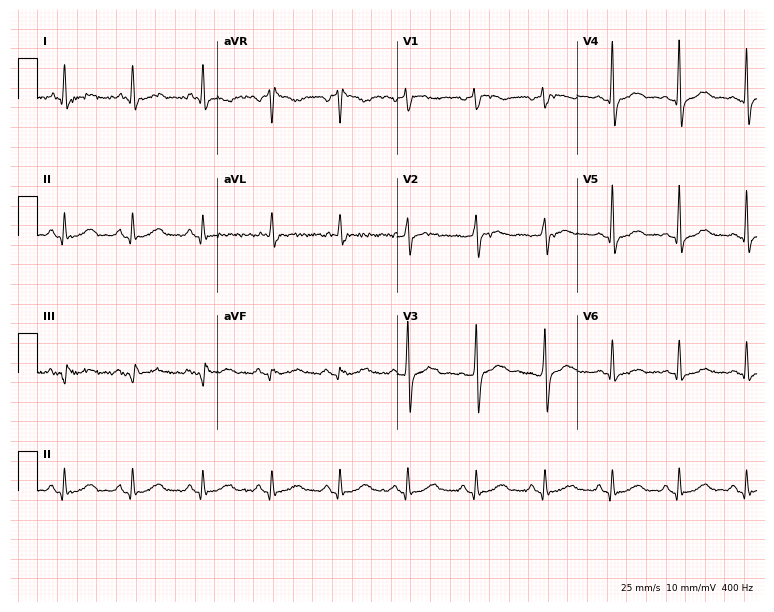
Resting 12-lead electrocardiogram. Patient: a 56-year-old male. None of these six findings is recorded: first-degree AV block, right bundle branch block, left bundle branch block, sinus bradycardia, atrial fibrillation, sinus tachycardia.